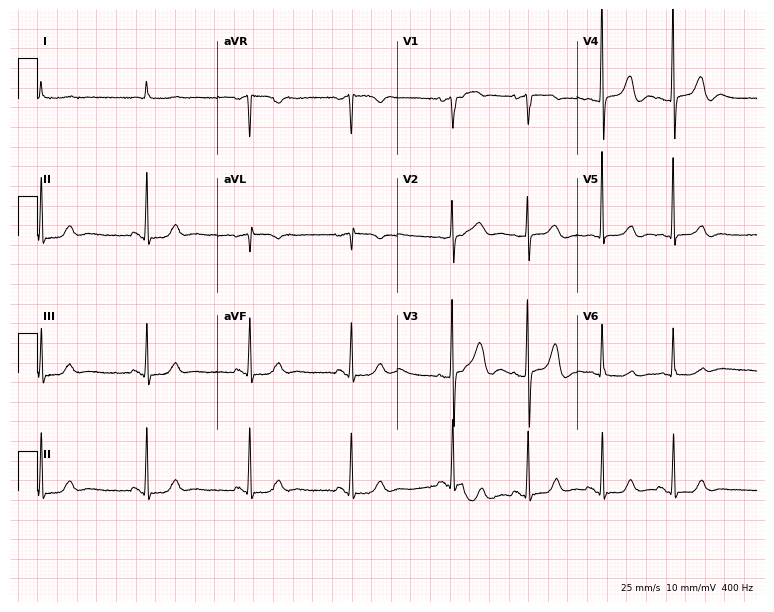
ECG — a woman, 83 years old. Screened for six findings — first-degree AV block, right bundle branch block, left bundle branch block, sinus bradycardia, atrial fibrillation, sinus tachycardia — none is recorded. Other findings, if any, are not listed.